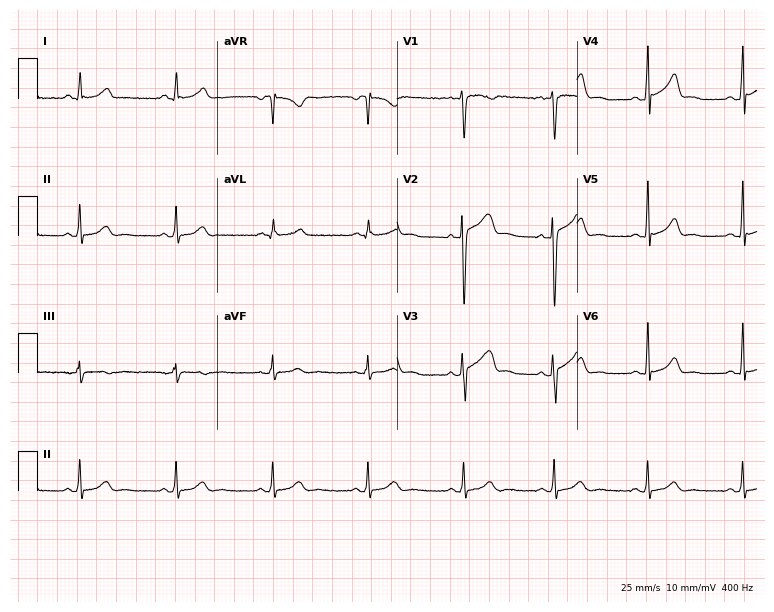
ECG — a male patient, 31 years old. Labelled as a normal ECG.